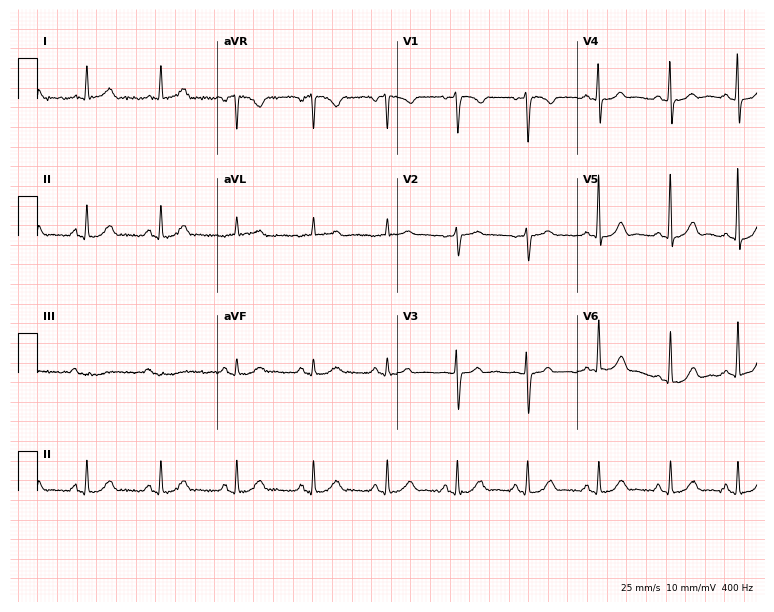
ECG (7.3-second recording at 400 Hz) — a 42-year-old female. Screened for six findings — first-degree AV block, right bundle branch block, left bundle branch block, sinus bradycardia, atrial fibrillation, sinus tachycardia — none is recorded.